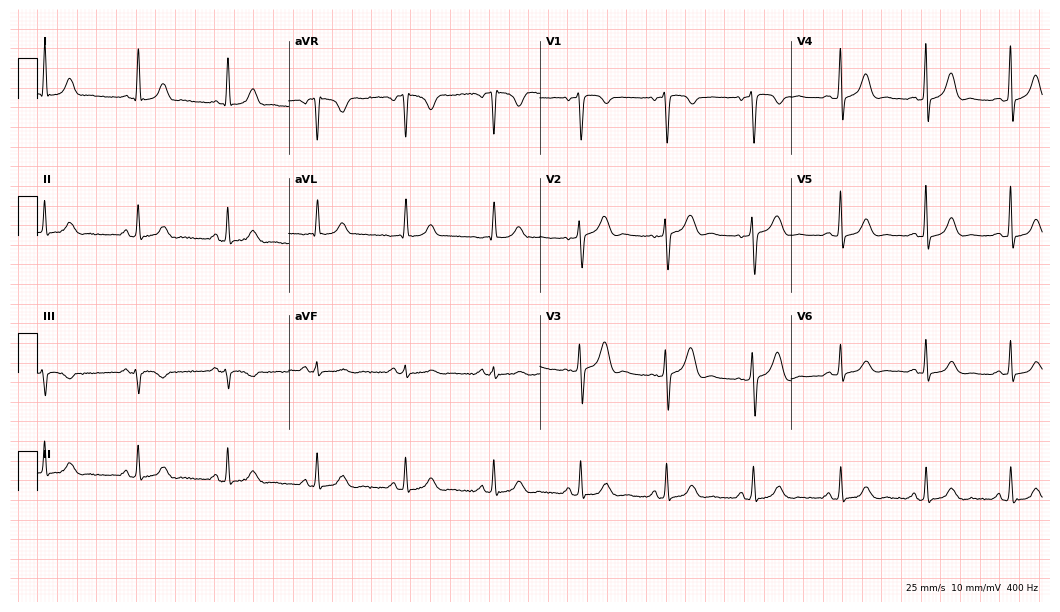
12-lead ECG (10.2-second recording at 400 Hz) from a 57-year-old female patient. Labelled as a normal ECG.